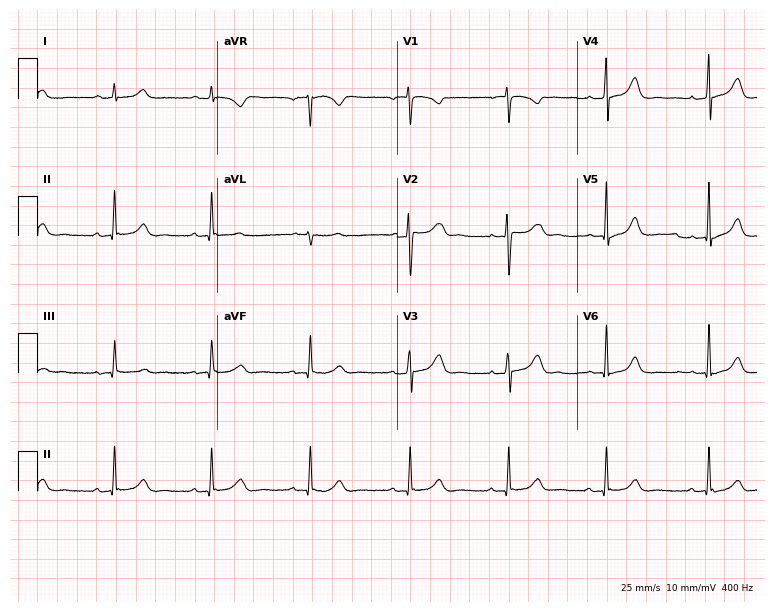
ECG — a woman, 30 years old. Screened for six findings — first-degree AV block, right bundle branch block, left bundle branch block, sinus bradycardia, atrial fibrillation, sinus tachycardia — none is recorded.